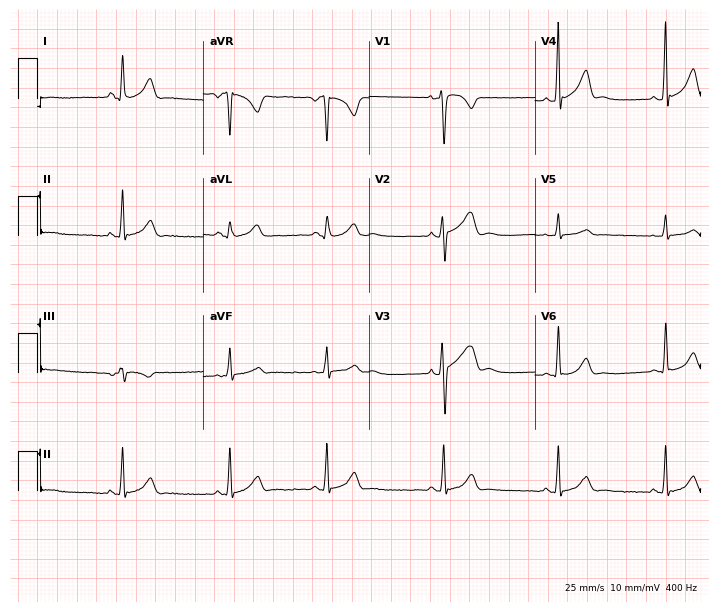
Standard 12-lead ECG recorded from a 27-year-old female. None of these six findings is recorded: first-degree AV block, right bundle branch block (RBBB), left bundle branch block (LBBB), sinus bradycardia, atrial fibrillation (AF), sinus tachycardia. Findings outside these six are not listed.